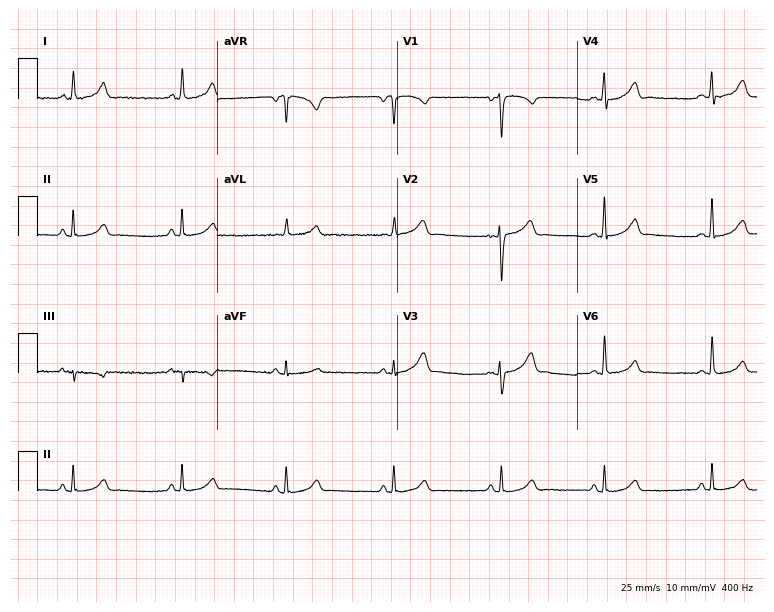
Standard 12-lead ECG recorded from a 44-year-old female patient (7.3-second recording at 400 Hz). Read as a normal ECG.